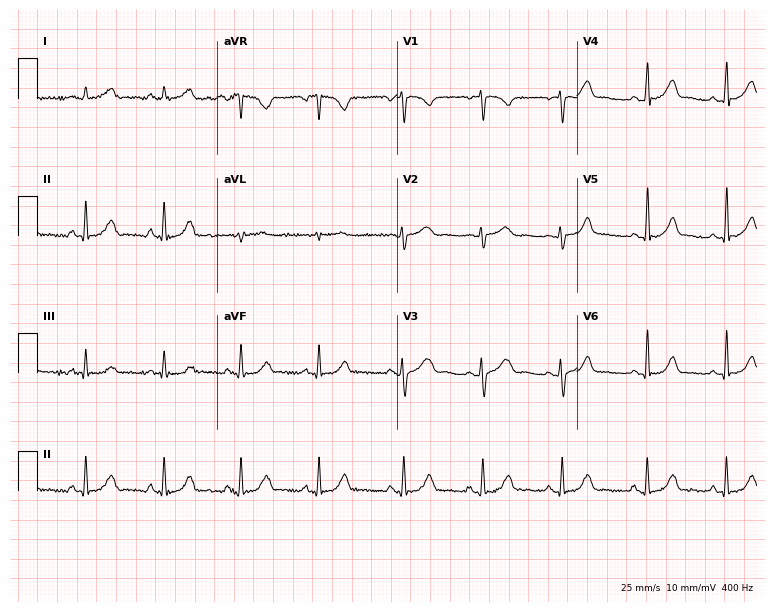
12-lead ECG from a 30-year-old female patient (7.3-second recording at 400 Hz). Recorded interpretation: within normal limits.